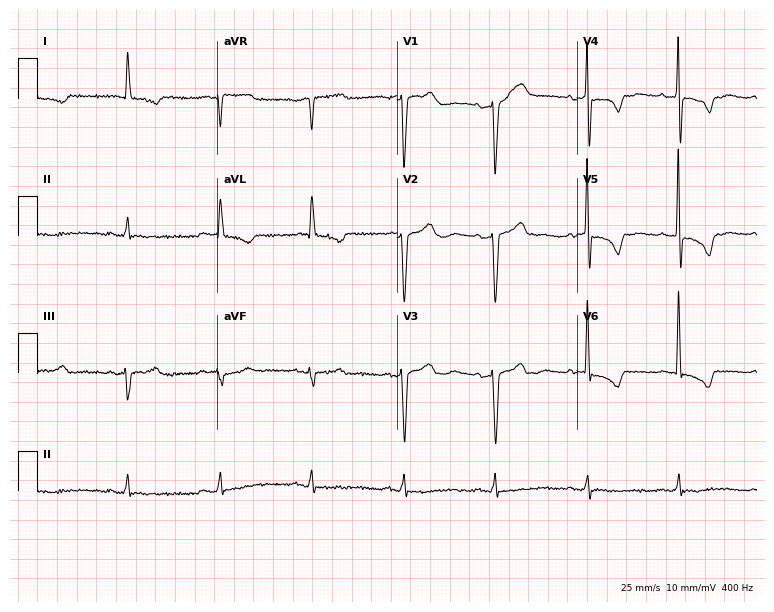
12-lead ECG from a woman, 74 years old. Screened for six findings — first-degree AV block, right bundle branch block (RBBB), left bundle branch block (LBBB), sinus bradycardia, atrial fibrillation (AF), sinus tachycardia — none is recorded. Findings outside these six are not listed.